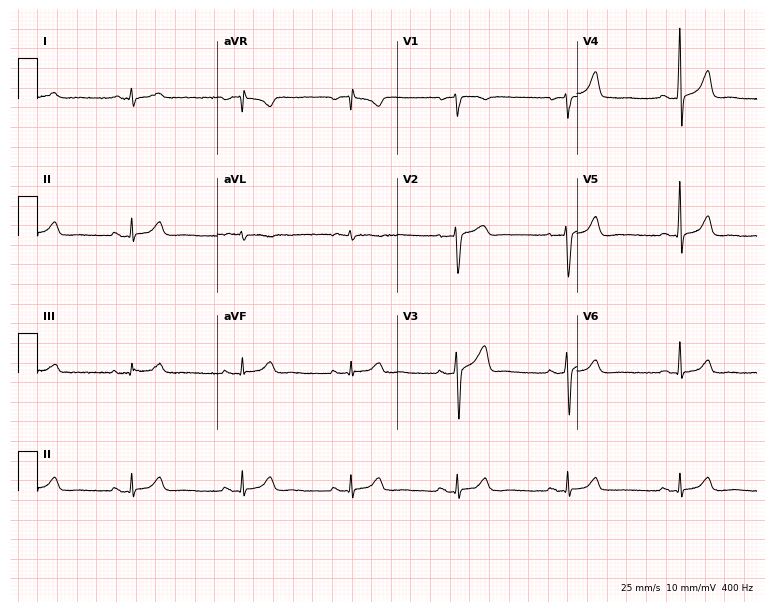
Electrocardiogram, a 40-year-old male patient. Overall reading on record: normal ECG.